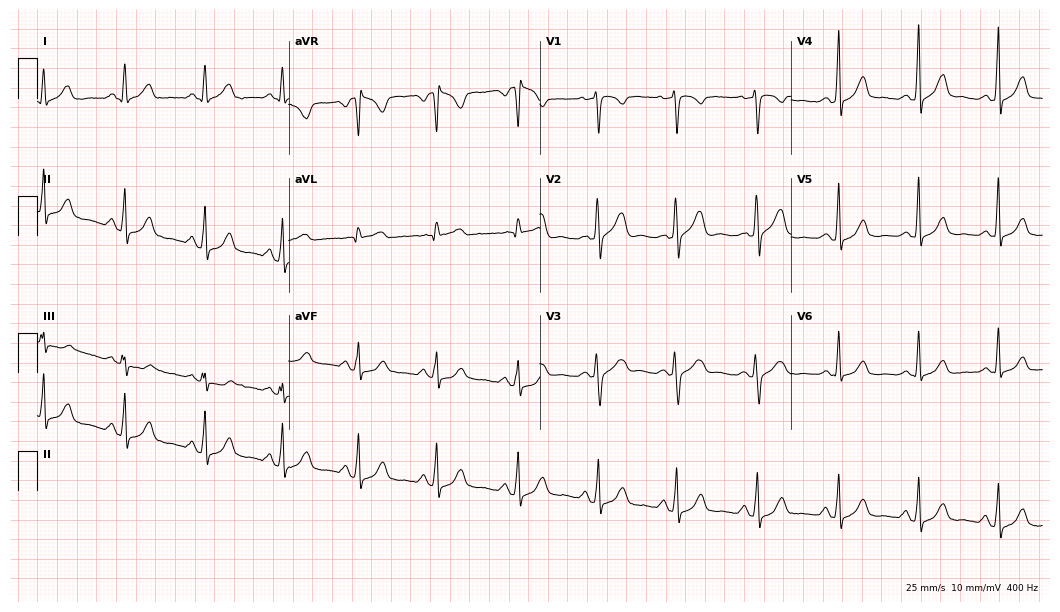
12-lead ECG from a female, 31 years old. No first-degree AV block, right bundle branch block (RBBB), left bundle branch block (LBBB), sinus bradycardia, atrial fibrillation (AF) or sinus tachycardia recorded for this tracing.